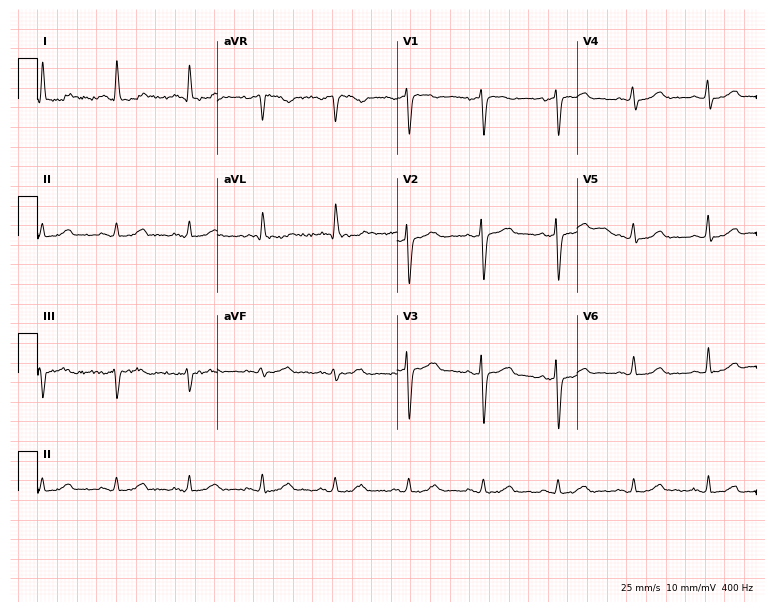
12-lead ECG (7.3-second recording at 400 Hz) from a female patient, 66 years old. Screened for six findings — first-degree AV block, right bundle branch block (RBBB), left bundle branch block (LBBB), sinus bradycardia, atrial fibrillation (AF), sinus tachycardia — none is recorded.